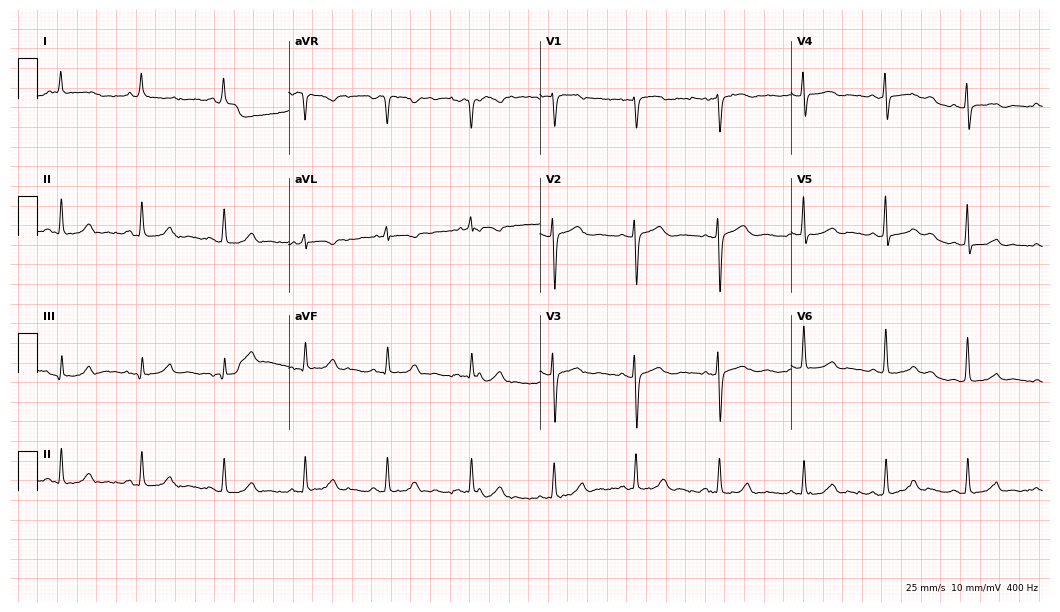
Resting 12-lead electrocardiogram. Patient: an 83-year-old female. None of these six findings is recorded: first-degree AV block, right bundle branch block (RBBB), left bundle branch block (LBBB), sinus bradycardia, atrial fibrillation (AF), sinus tachycardia. Findings outside these six are not listed.